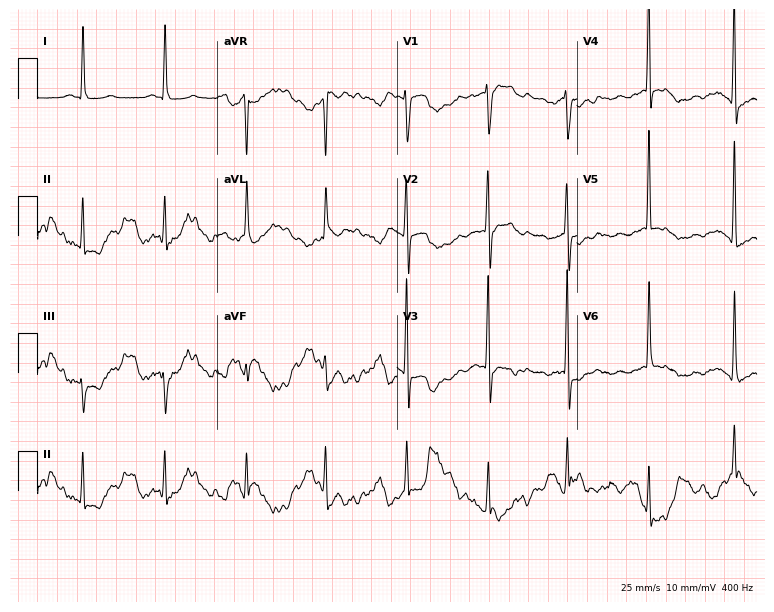
12-lead ECG from a male patient, 67 years old. Screened for six findings — first-degree AV block, right bundle branch block, left bundle branch block, sinus bradycardia, atrial fibrillation, sinus tachycardia — none is recorded. Only these six findings were labelled.